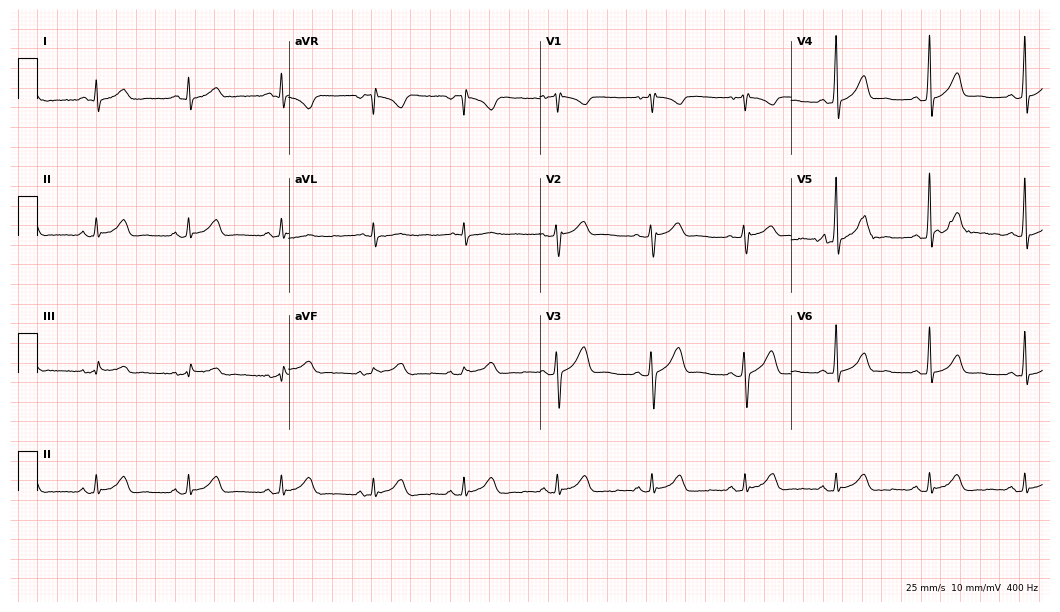
Standard 12-lead ECG recorded from a 51-year-old male. Read as a normal ECG.